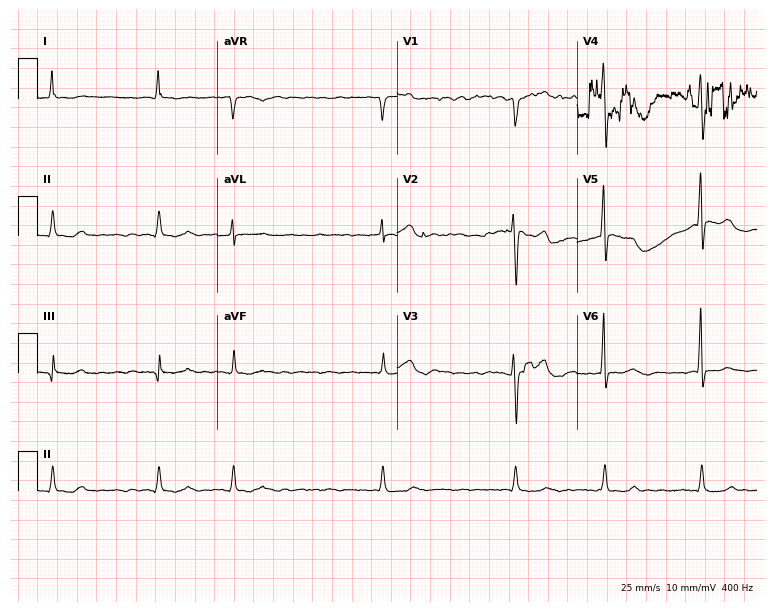
ECG — a 73-year-old man. Screened for six findings — first-degree AV block, right bundle branch block, left bundle branch block, sinus bradycardia, atrial fibrillation, sinus tachycardia — none is recorded. Other findings, if any, are not listed.